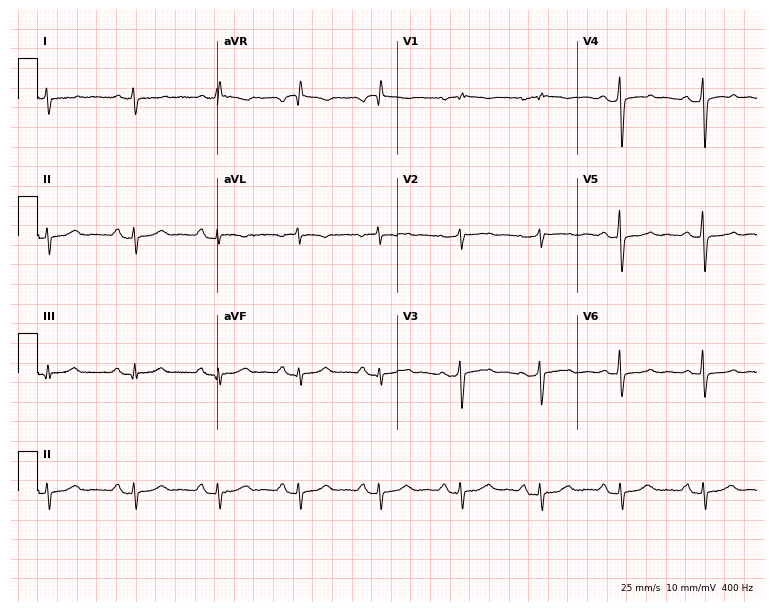
Electrocardiogram, a woman, 58 years old. Of the six screened findings (first-degree AV block, right bundle branch block, left bundle branch block, sinus bradycardia, atrial fibrillation, sinus tachycardia), none is recorded.